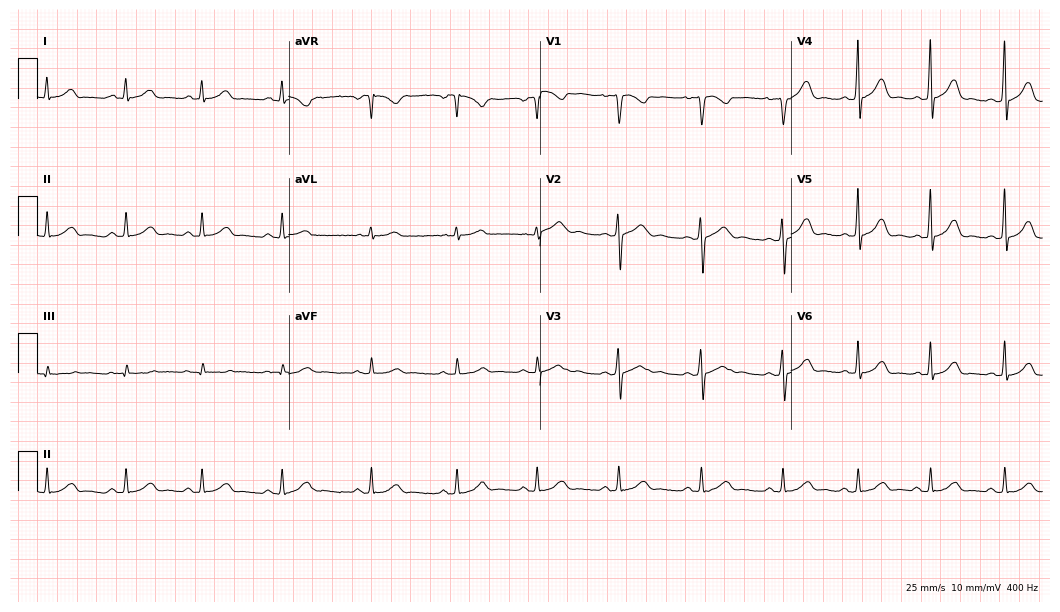
Electrocardiogram, a 23-year-old woman. Overall reading on record: normal ECG.